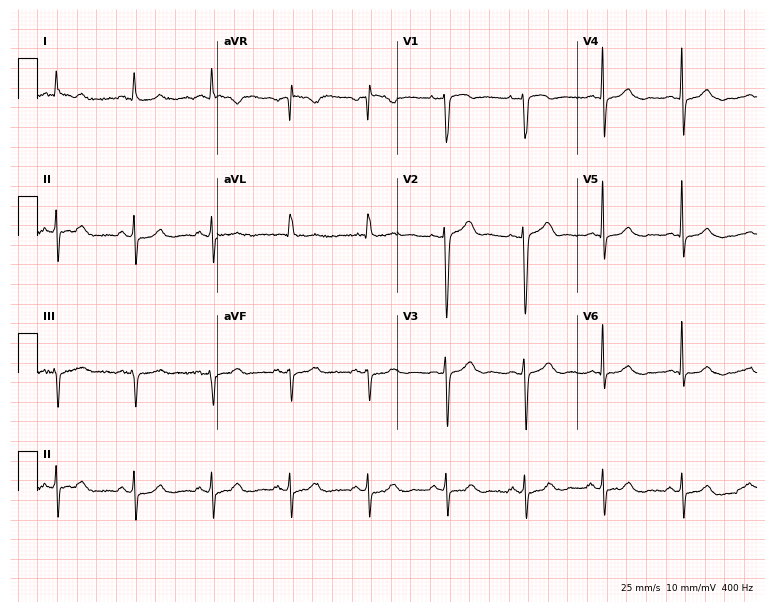
ECG — a woman, 73 years old. Screened for six findings — first-degree AV block, right bundle branch block, left bundle branch block, sinus bradycardia, atrial fibrillation, sinus tachycardia — none is recorded. Findings outside these six are not listed.